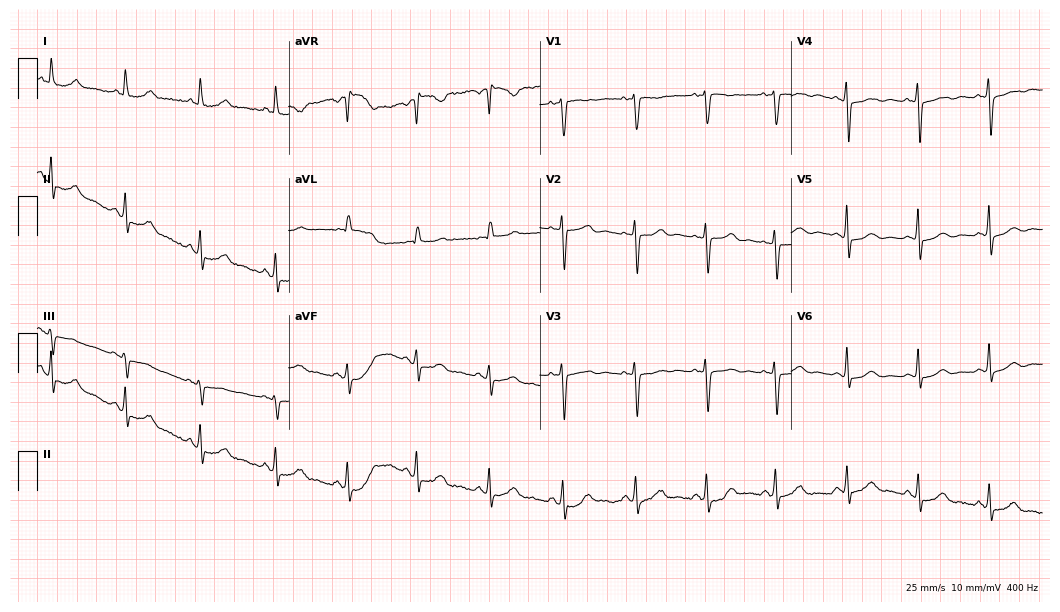
Standard 12-lead ECG recorded from a 76-year-old female (10.2-second recording at 400 Hz). None of these six findings is recorded: first-degree AV block, right bundle branch block, left bundle branch block, sinus bradycardia, atrial fibrillation, sinus tachycardia. Only these six findings were labelled.